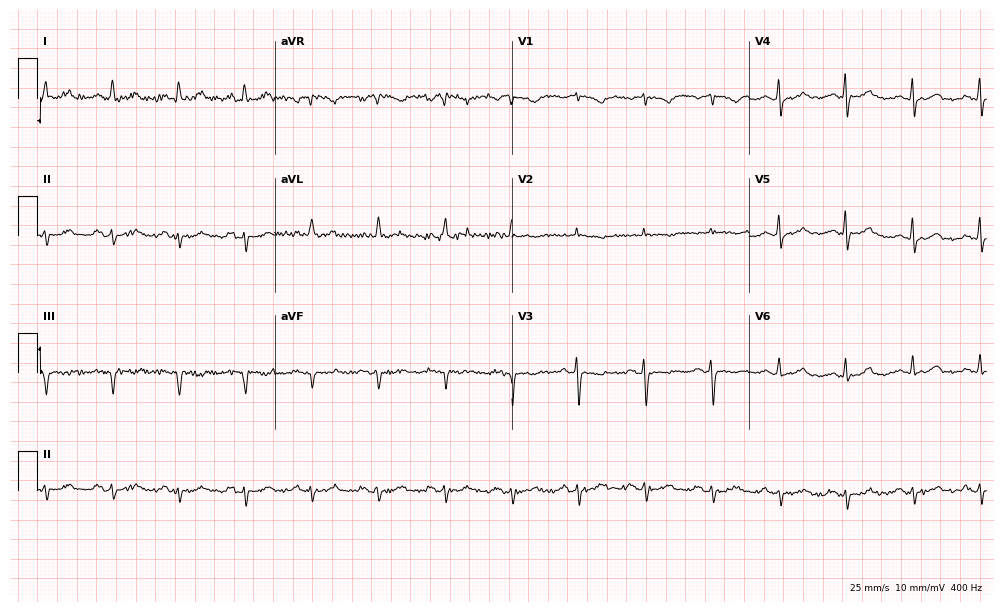
12-lead ECG from a woman, 73 years old. No first-degree AV block, right bundle branch block (RBBB), left bundle branch block (LBBB), sinus bradycardia, atrial fibrillation (AF) or sinus tachycardia recorded for this tracing. Findings outside these six are not listed.